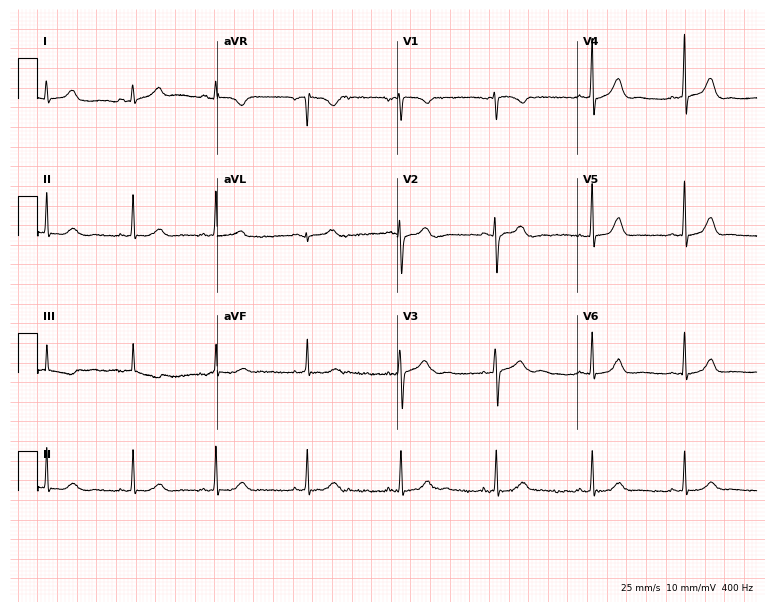
Electrocardiogram, a female patient, 29 years old. Overall reading on record: normal ECG.